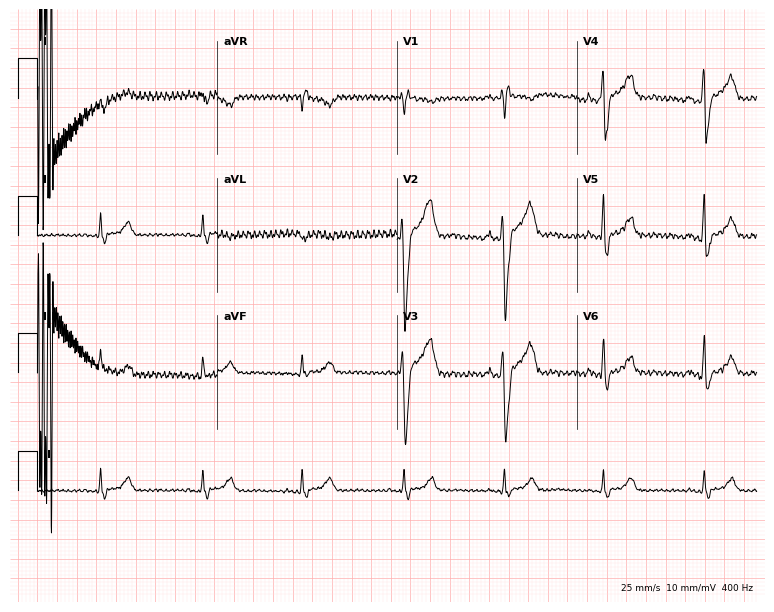
ECG (7.3-second recording at 400 Hz) — a 41-year-old man. Screened for six findings — first-degree AV block, right bundle branch block (RBBB), left bundle branch block (LBBB), sinus bradycardia, atrial fibrillation (AF), sinus tachycardia — none is recorded.